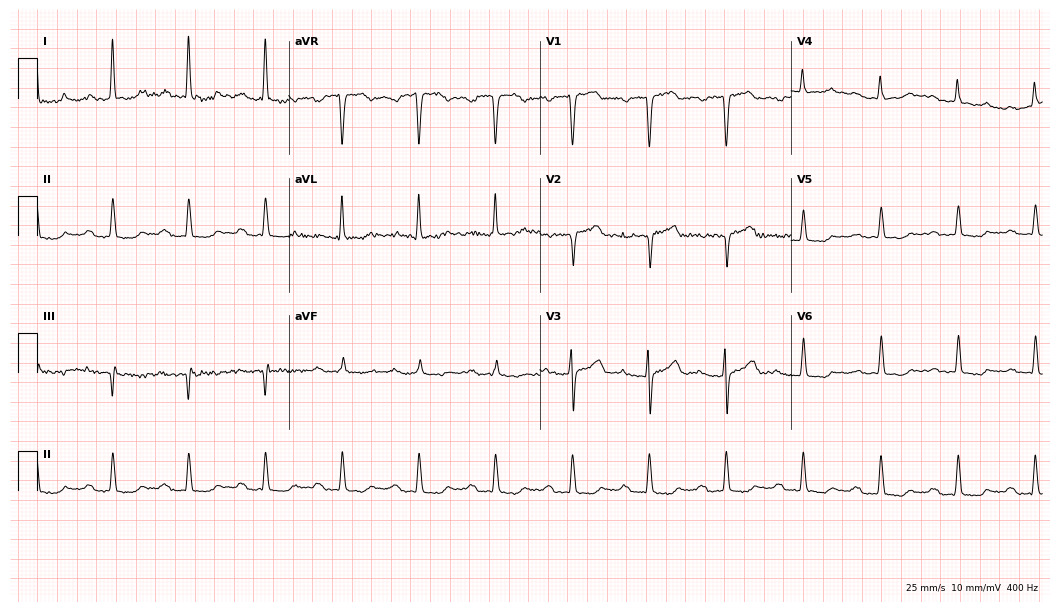
12-lead ECG (10.2-second recording at 400 Hz) from a female patient, 85 years old. Findings include first-degree AV block.